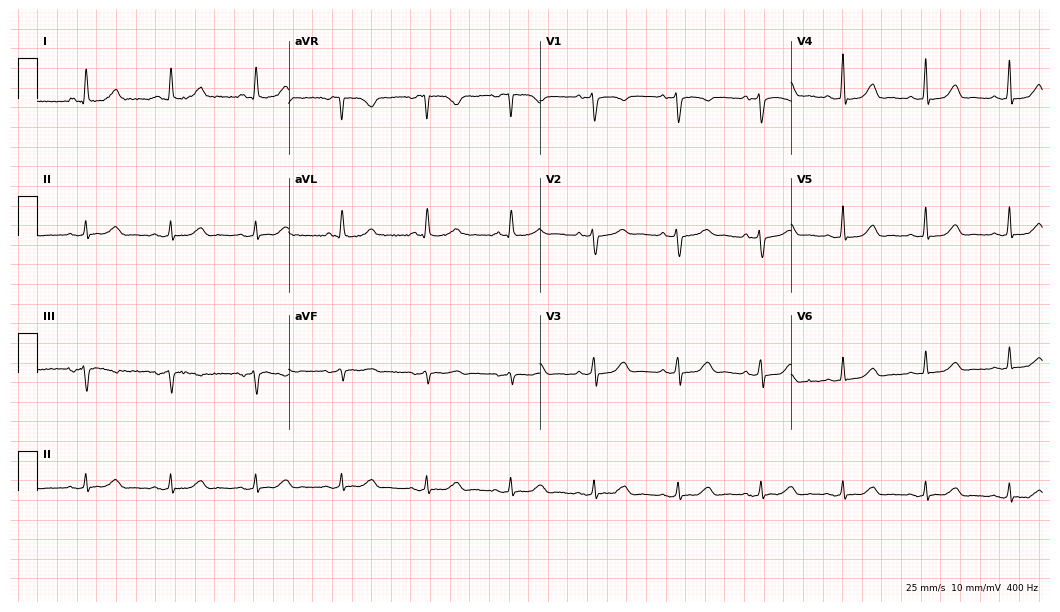
12-lead ECG (10.2-second recording at 400 Hz) from a woman, 65 years old. Labelled as a normal ECG.